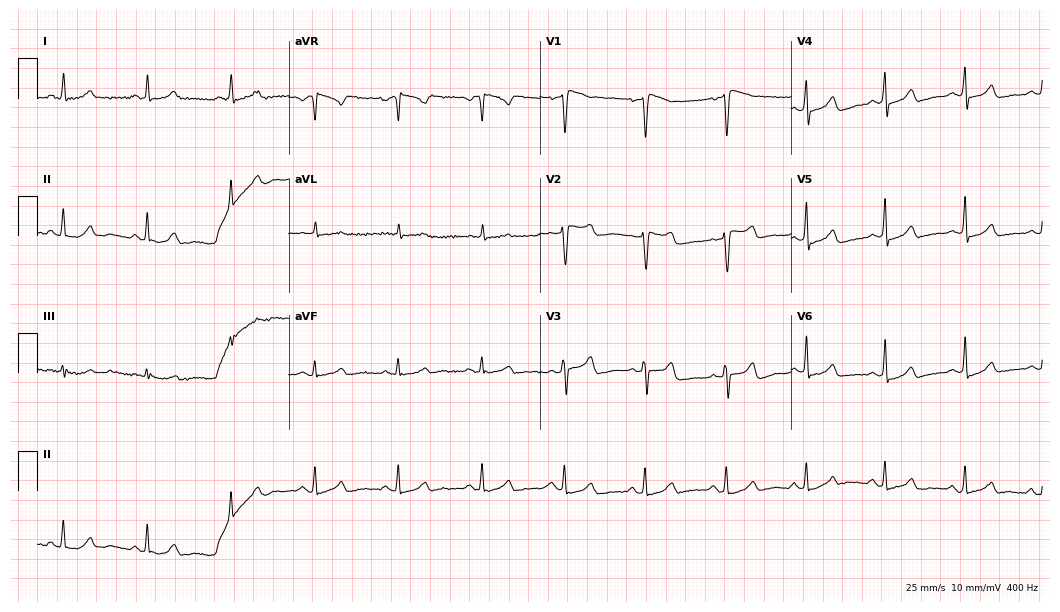
Resting 12-lead electrocardiogram (10.2-second recording at 400 Hz). Patient: a female, 65 years old. None of these six findings is recorded: first-degree AV block, right bundle branch block, left bundle branch block, sinus bradycardia, atrial fibrillation, sinus tachycardia.